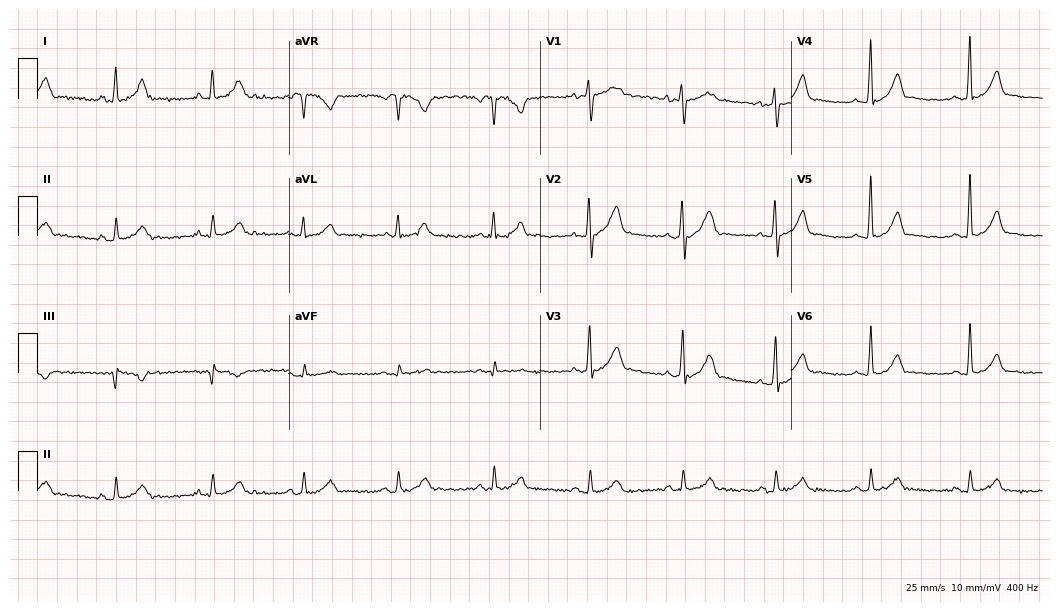
ECG (10.2-second recording at 400 Hz) — a 33-year-old man. Labelled as a normal ECG.